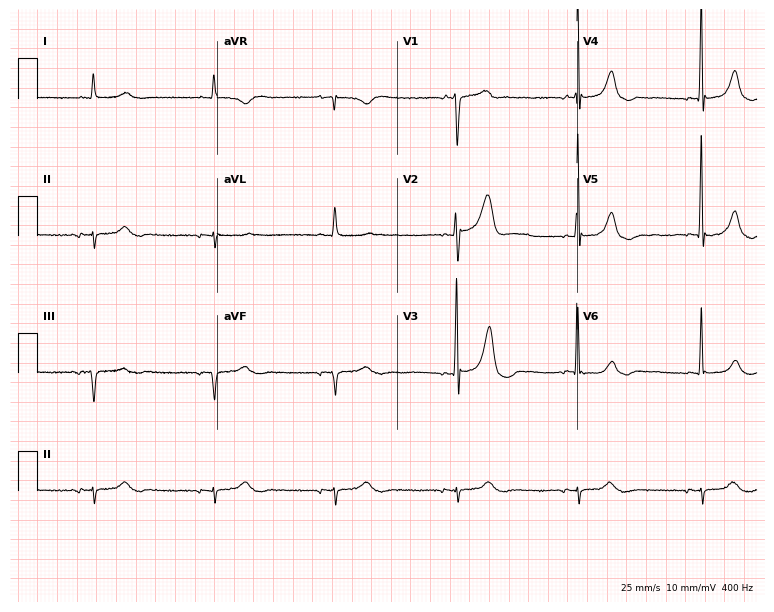
Standard 12-lead ECG recorded from an 85-year-old male (7.3-second recording at 400 Hz). None of these six findings is recorded: first-degree AV block, right bundle branch block, left bundle branch block, sinus bradycardia, atrial fibrillation, sinus tachycardia.